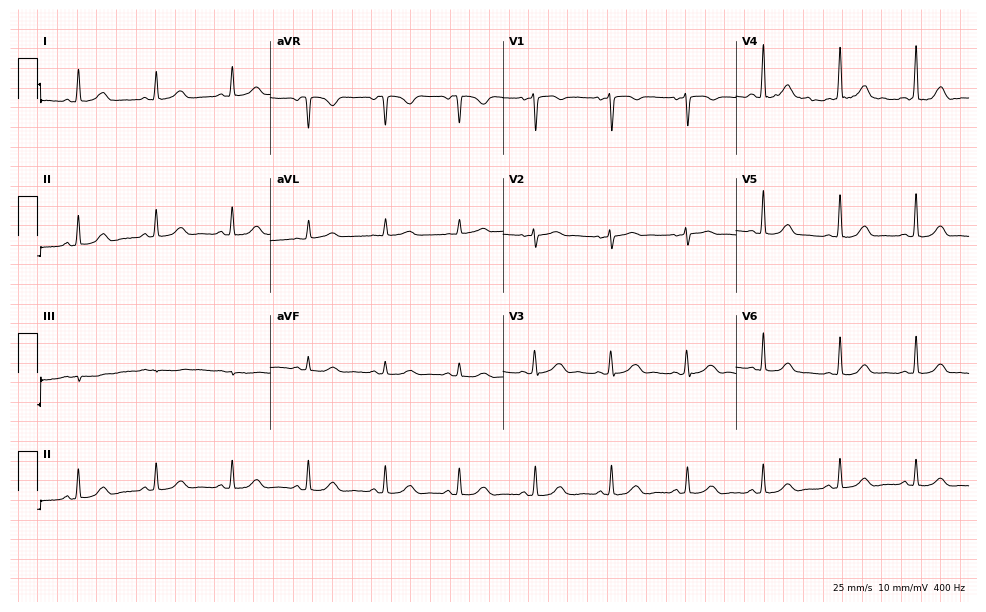
Electrocardiogram, a 46-year-old woman. Overall reading on record: normal ECG.